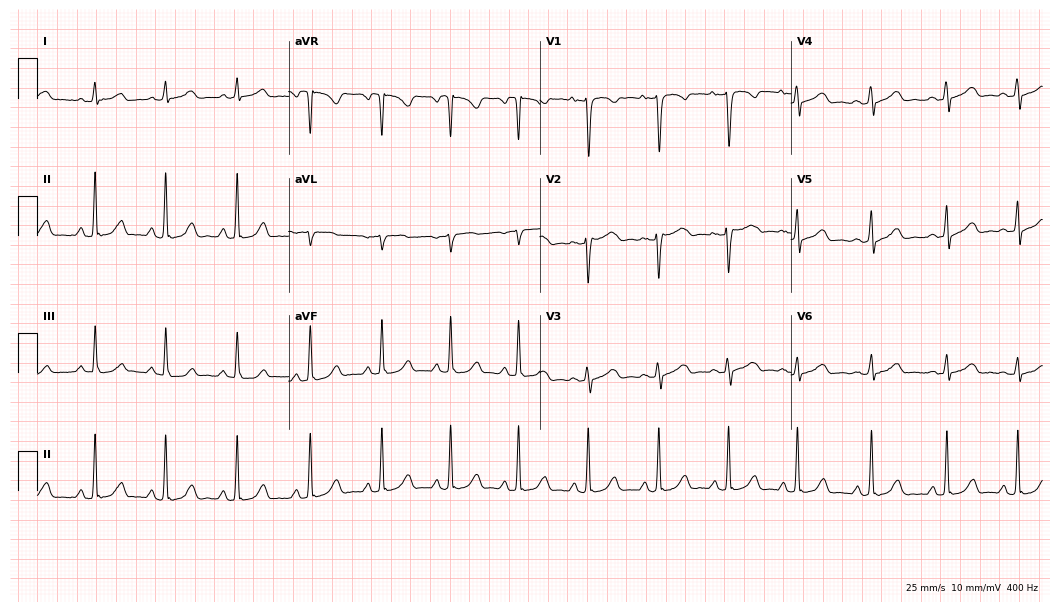
12-lead ECG from a 22-year-old female patient. Screened for six findings — first-degree AV block, right bundle branch block, left bundle branch block, sinus bradycardia, atrial fibrillation, sinus tachycardia — none is recorded.